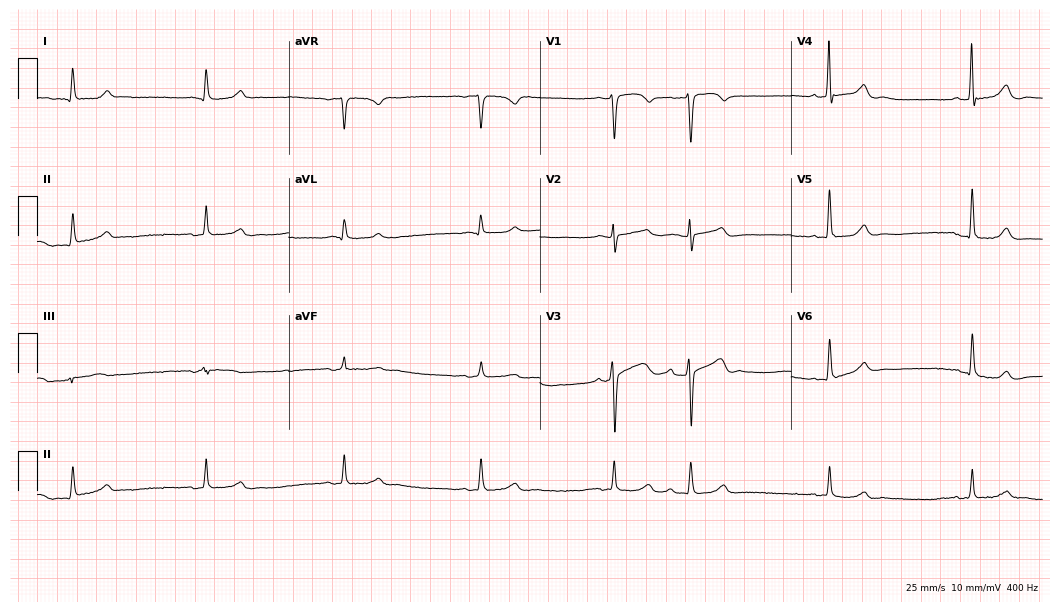
Resting 12-lead electrocardiogram (10.2-second recording at 400 Hz). Patient: a male, 82 years old. The tracing shows sinus bradycardia (a sinus rate of 50 beats per minute or less).